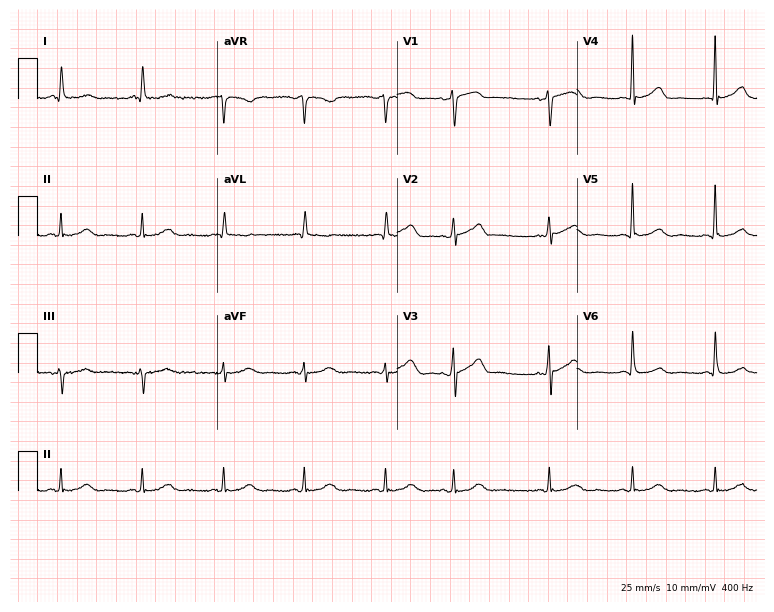
12-lead ECG from a female, 81 years old (7.3-second recording at 400 Hz). Recorded interpretation: within normal limits.